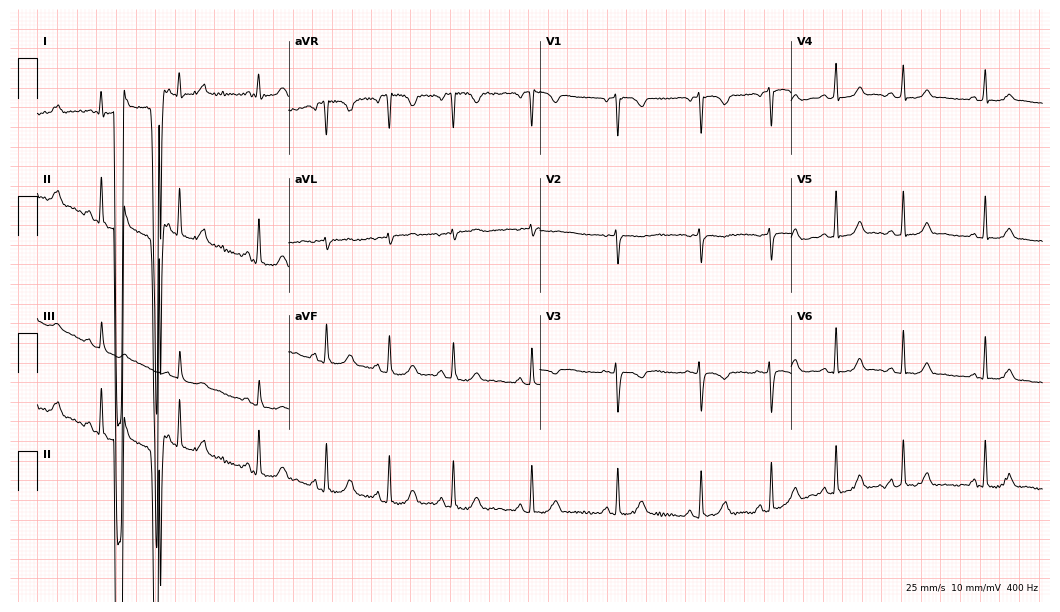
Electrocardiogram (10.2-second recording at 400 Hz), a 25-year-old female patient. Of the six screened findings (first-degree AV block, right bundle branch block, left bundle branch block, sinus bradycardia, atrial fibrillation, sinus tachycardia), none is recorded.